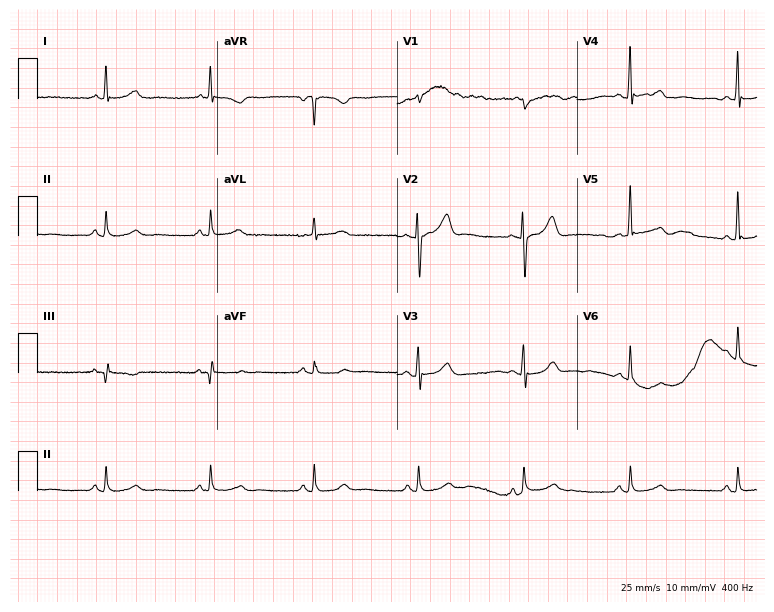
Resting 12-lead electrocardiogram (7.3-second recording at 400 Hz). Patient: a 62-year-old man. Read as a normal ECG.